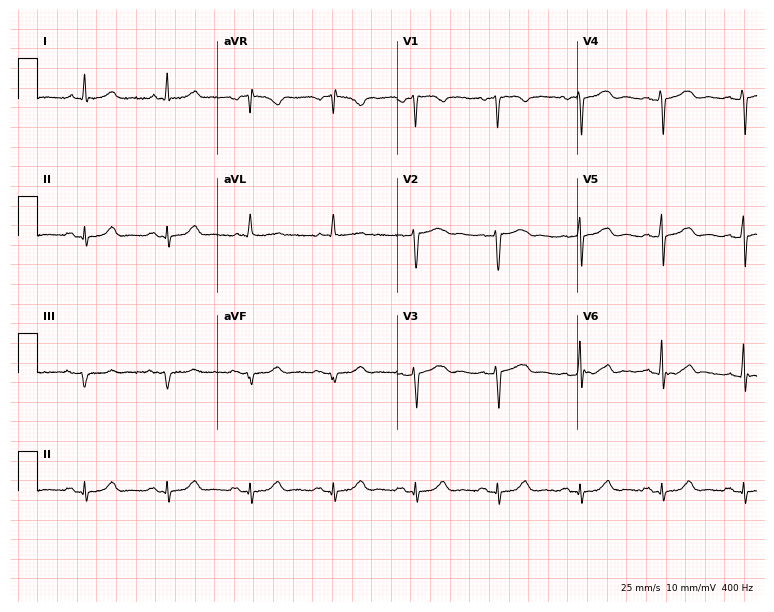
Resting 12-lead electrocardiogram (7.3-second recording at 400 Hz). Patient: a male, 68 years old. None of these six findings is recorded: first-degree AV block, right bundle branch block, left bundle branch block, sinus bradycardia, atrial fibrillation, sinus tachycardia.